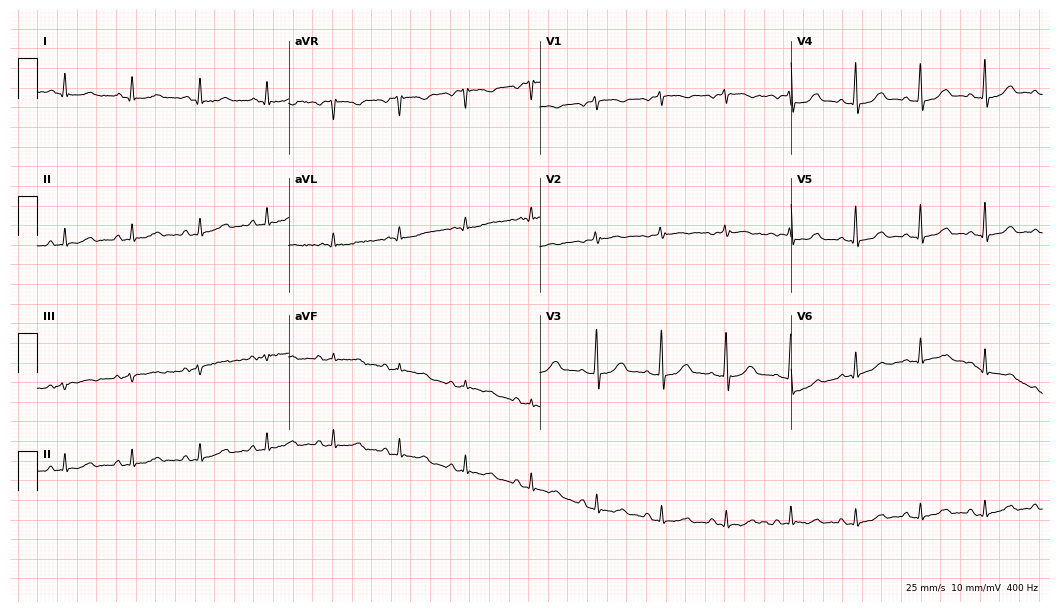
12-lead ECG from a female patient, 60 years old. Screened for six findings — first-degree AV block, right bundle branch block, left bundle branch block, sinus bradycardia, atrial fibrillation, sinus tachycardia — none is recorded.